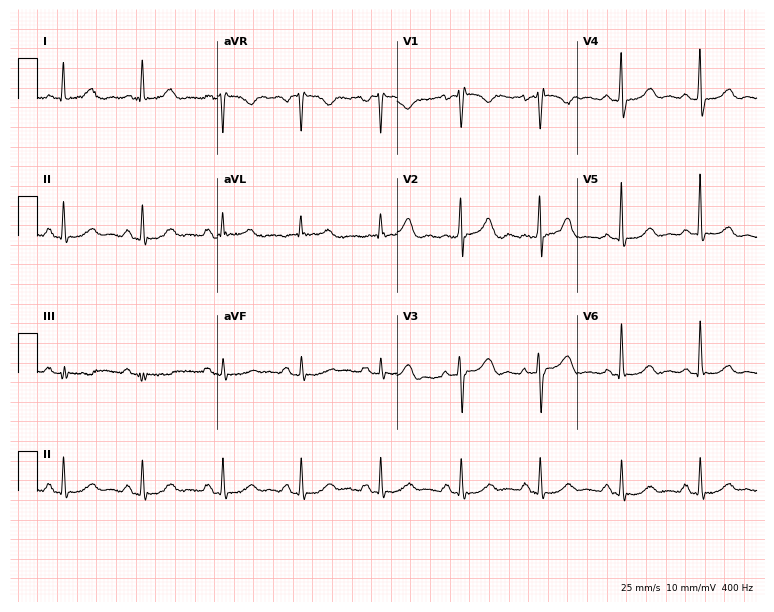
Electrocardiogram, a 66-year-old female patient. Of the six screened findings (first-degree AV block, right bundle branch block, left bundle branch block, sinus bradycardia, atrial fibrillation, sinus tachycardia), none is recorded.